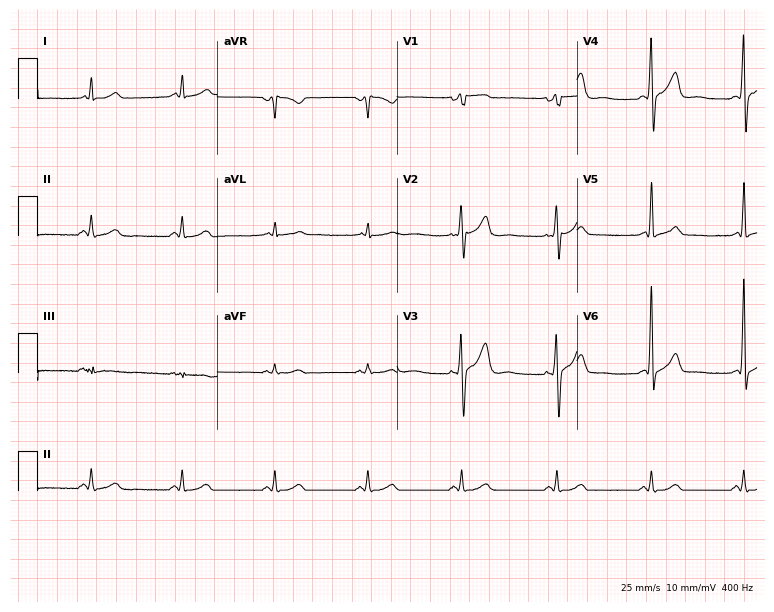
12-lead ECG from a man, 59 years old. Labelled as a normal ECG.